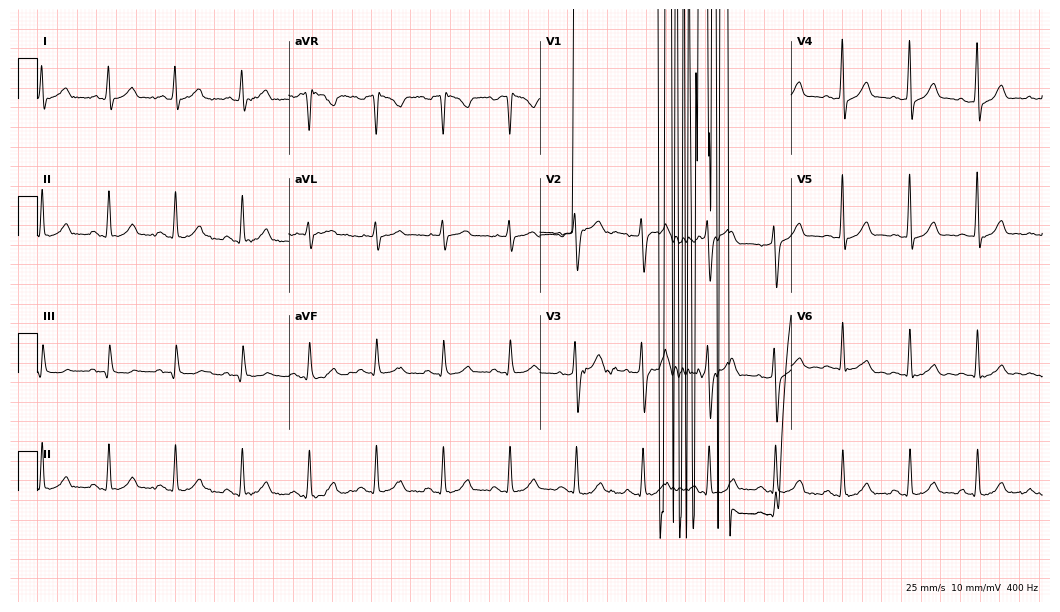
ECG — a male patient, 58 years old. Screened for six findings — first-degree AV block, right bundle branch block (RBBB), left bundle branch block (LBBB), sinus bradycardia, atrial fibrillation (AF), sinus tachycardia — none is recorded.